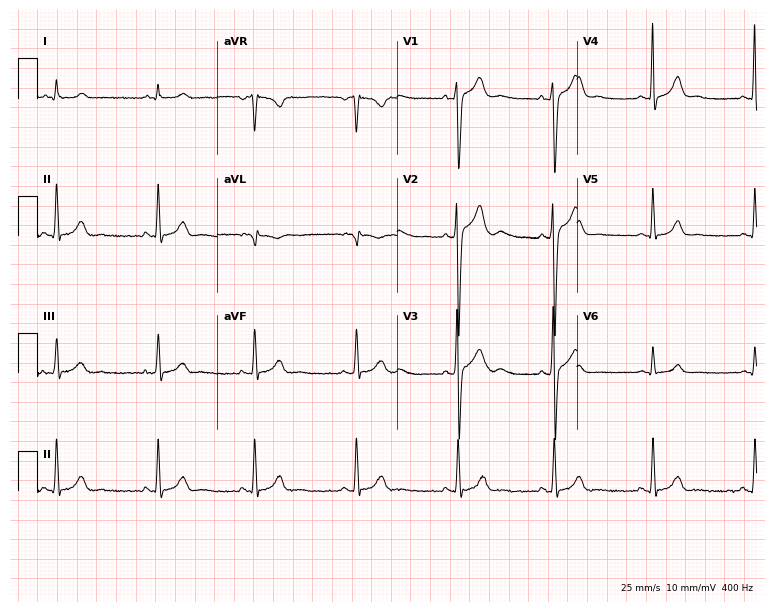
12-lead ECG from a 21-year-old male. Labelled as a normal ECG.